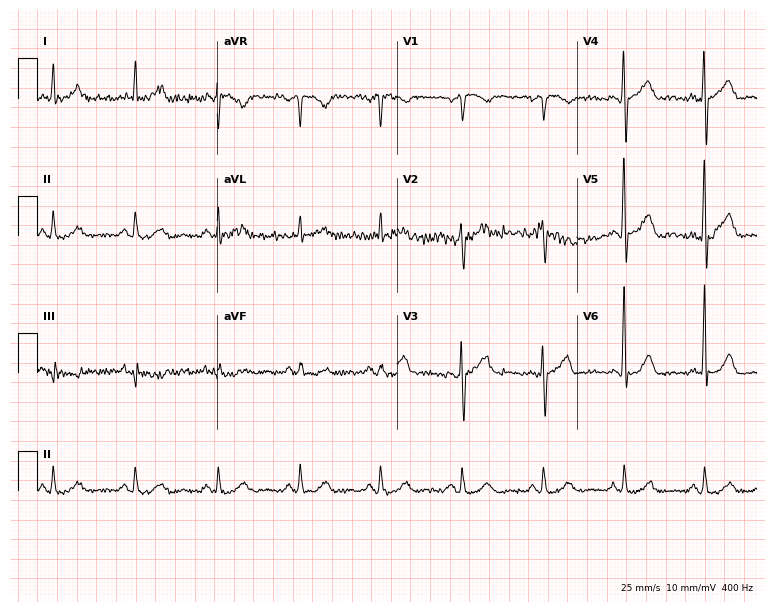
Resting 12-lead electrocardiogram. Patient: a 72-year-old man. Read as a normal ECG.